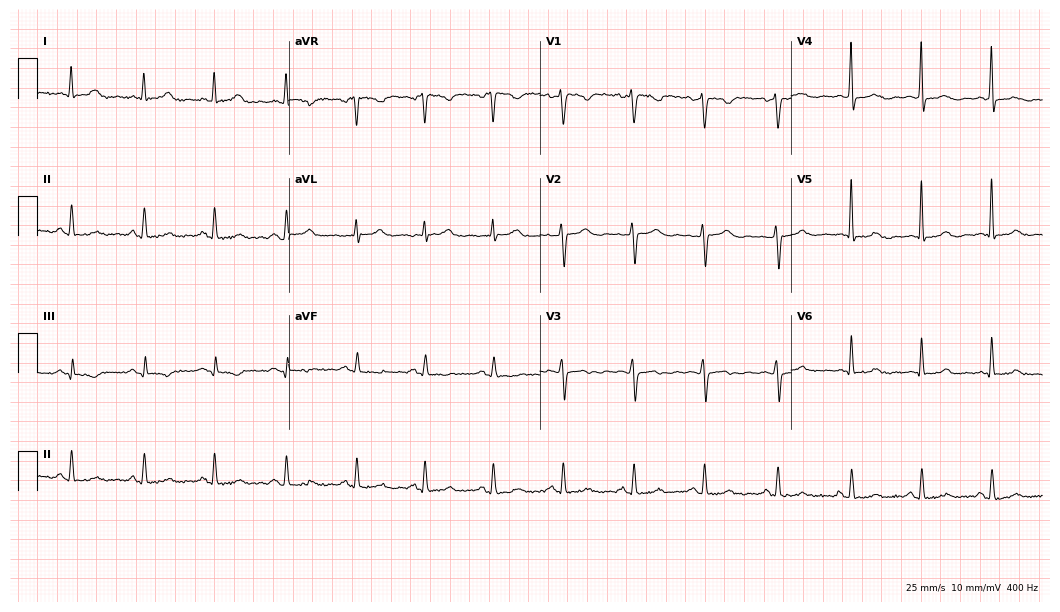
12-lead ECG from a 39-year-old female patient (10.2-second recording at 400 Hz). Recorded interpretation: within normal limits.